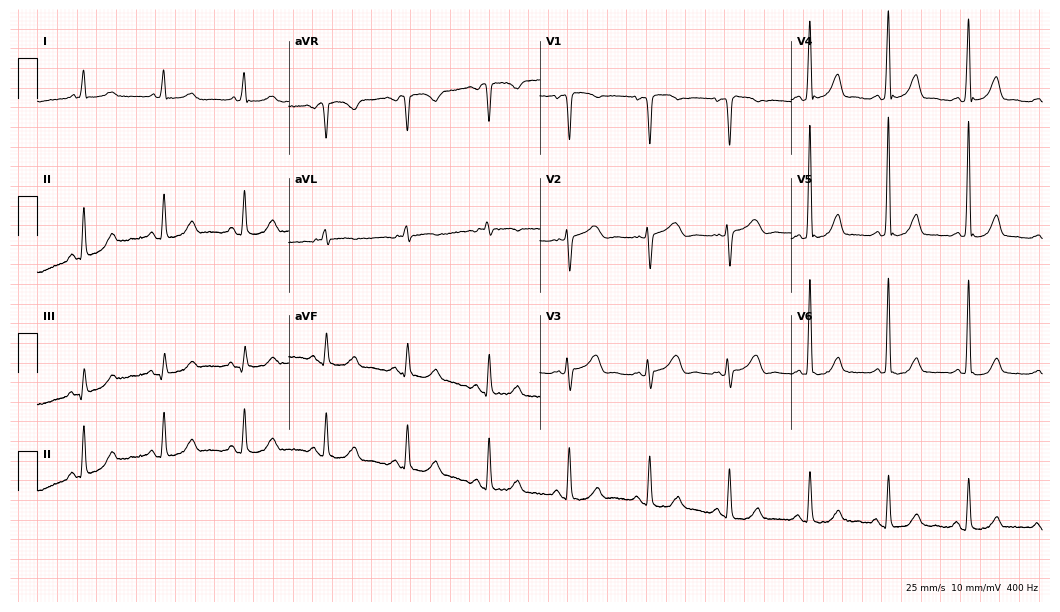
Electrocardiogram, a 66-year-old woman. Overall reading on record: normal ECG.